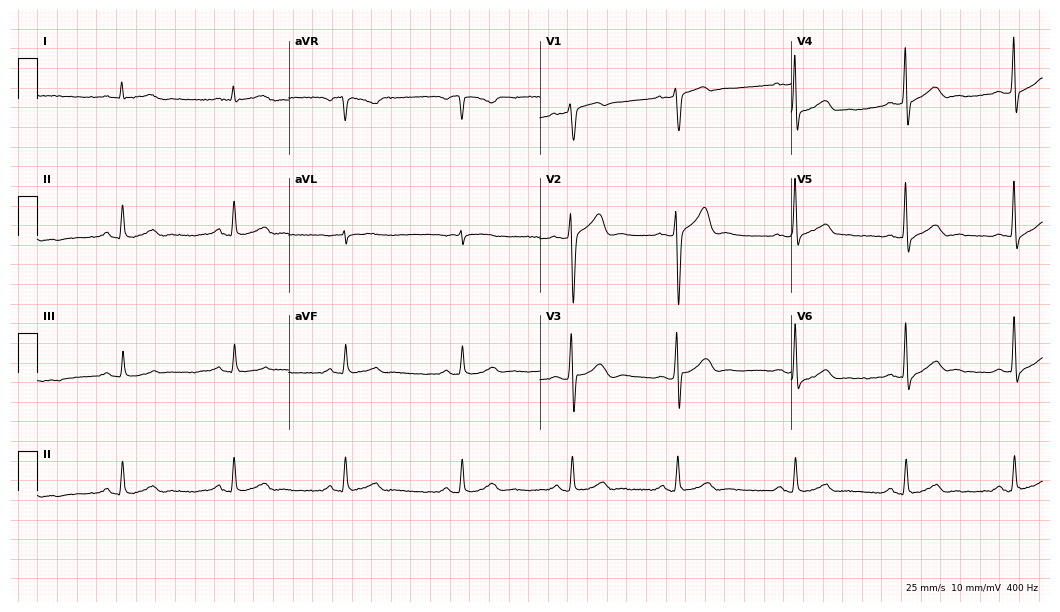
Resting 12-lead electrocardiogram (10.2-second recording at 400 Hz). Patient: a male, 47 years old. None of these six findings is recorded: first-degree AV block, right bundle branch block (RBBB), left bundle branch block (LBBB), sinus bradycardia, atrial fibrillation (AF), sinus tachycardia. Findings outside these six are not listed.